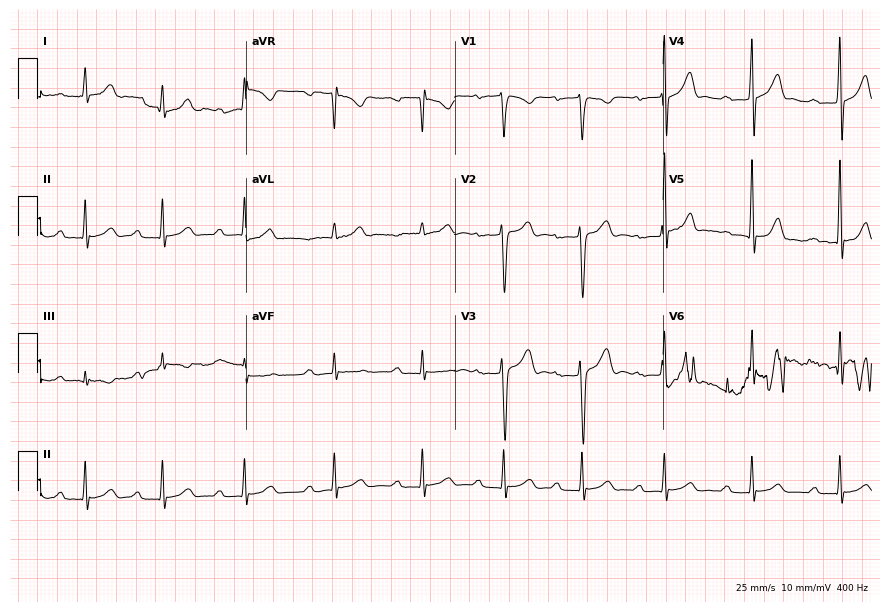
ECG — a male patient, 35 years old. Findings include first-degree AV block.